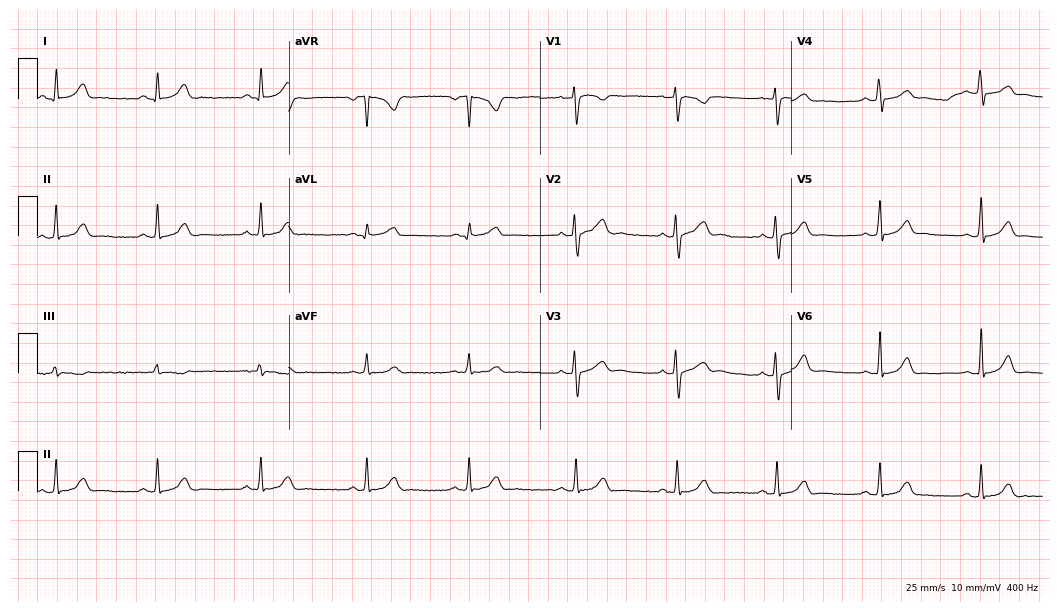
Electrocardiogram, a 27-year-old woman. Overall reading on record: normal ECG.